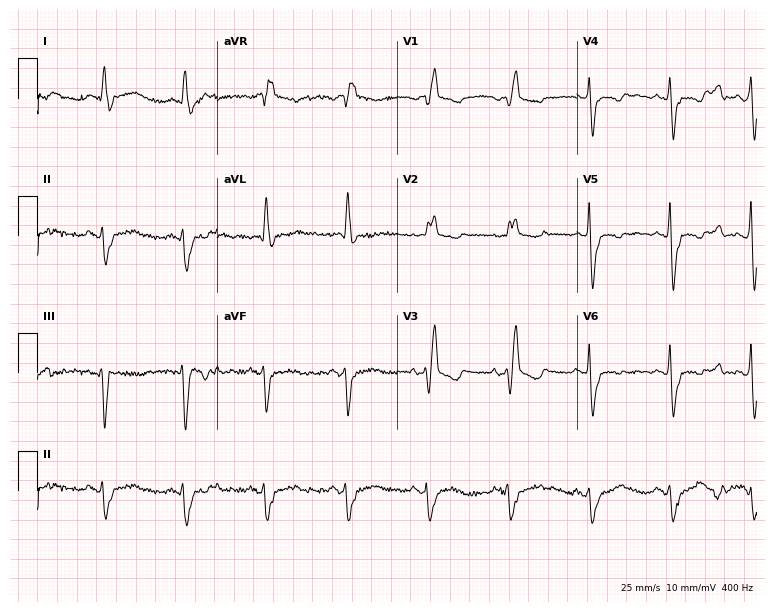
12-lead ECG from a man, 82 years old. Shows right bundle branch block (RBBB).